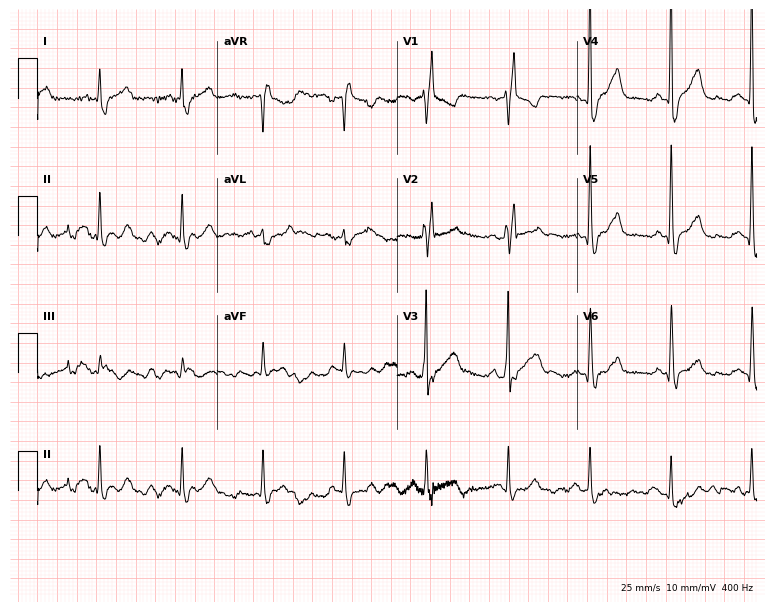
Electrocardiogram, a 41-year-old male. Interpretation includes right bundle branch block (RBBB).